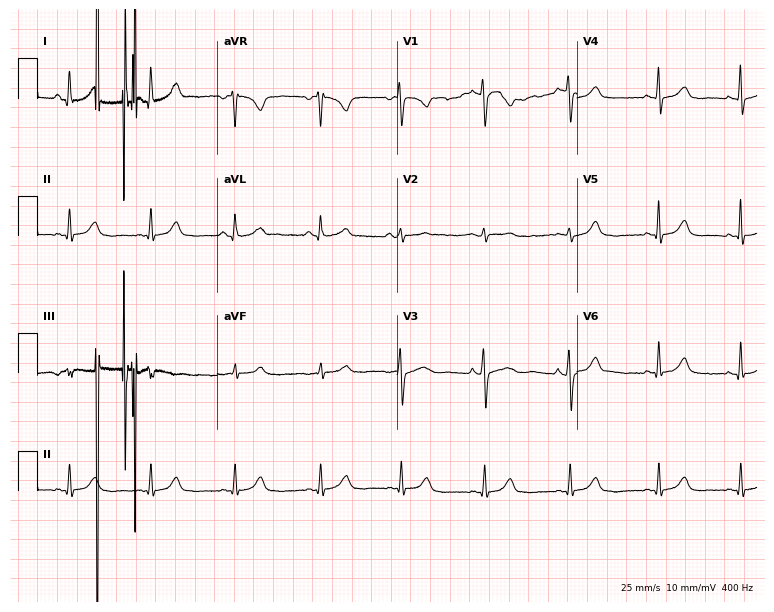
12-lead ECG (7.3-second recording at 400 Hz) from a 25-year-old female patient. Labelled as a normal ECG.